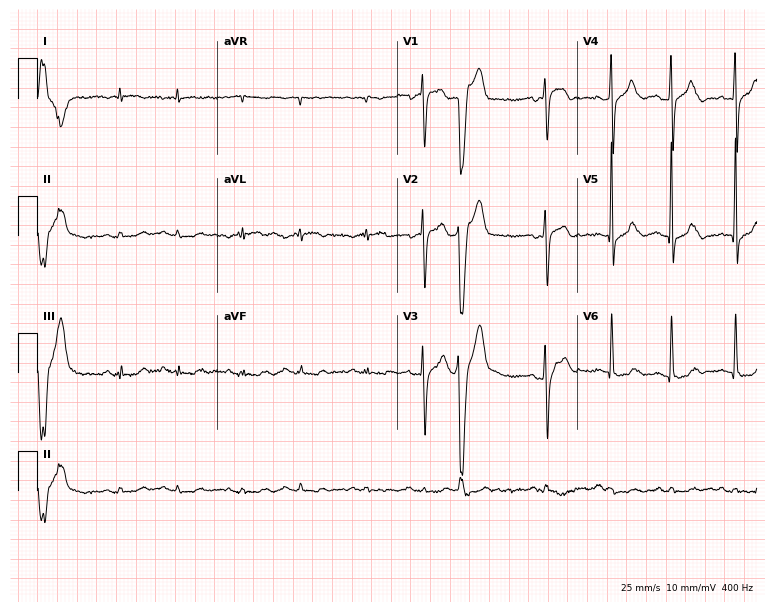
Resting 12-lead electrocardiogram. Patient: a female, 81 years old. None of these six findings is recorded: first-degree AV block, right bundle branch block, left bundle branch block, sinus bradycardia, atrial fibrillation, sinus tachycardia.